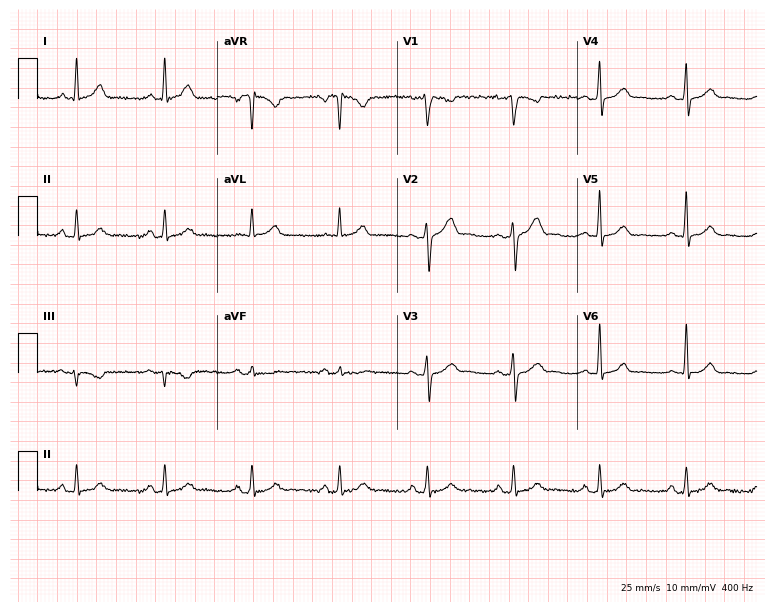
Standard 12-lead ECG recorded from a man, 43 years old. None of these six findings is recorded: first-degree AV block, right bundle branch block, left bundle branch block, sinus bradycardia, atrial fibrillation, sinus tachycardia. Other findings, if any, are not listed.